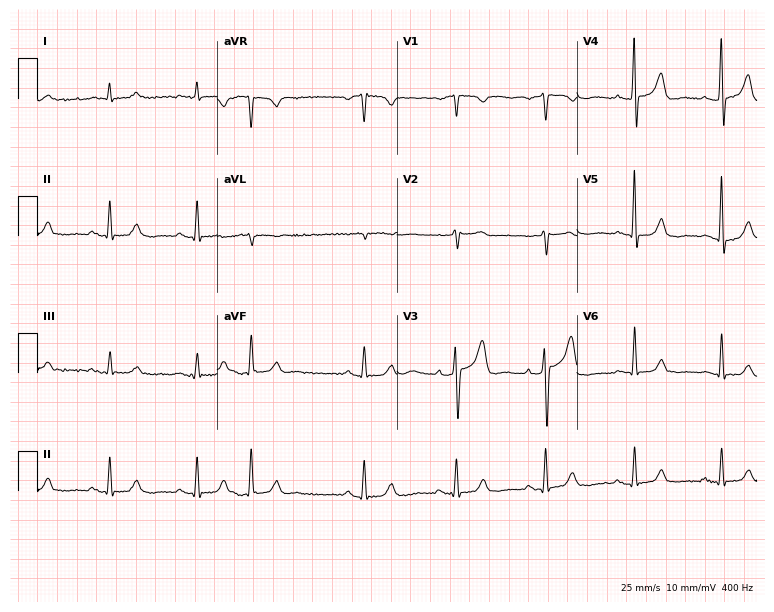
Resting 12-lead electrocardiogram. Patient: an 84-year-old male. None of these six findings is recorded: first-degree AV block, right bundle branch block, left bundle branch block, sinus bradycardia, atrial fibrillation, sinus tachycardia. Findings outside these six are not listed.